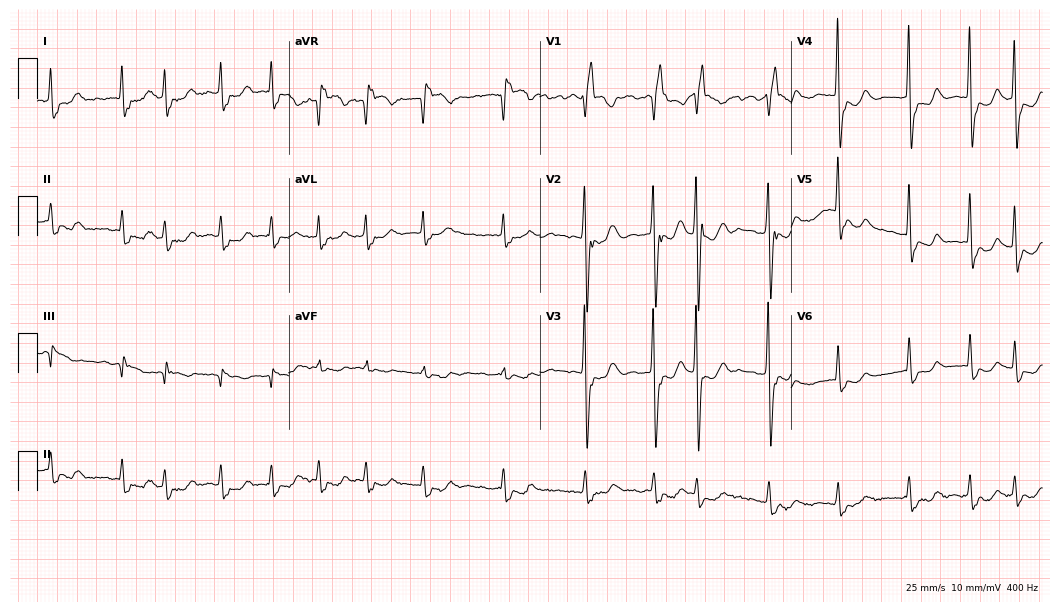
Electrocardiogram, a female patient, 84 years old. Interpretation includes right bundle branch block, atrial fibrillation.